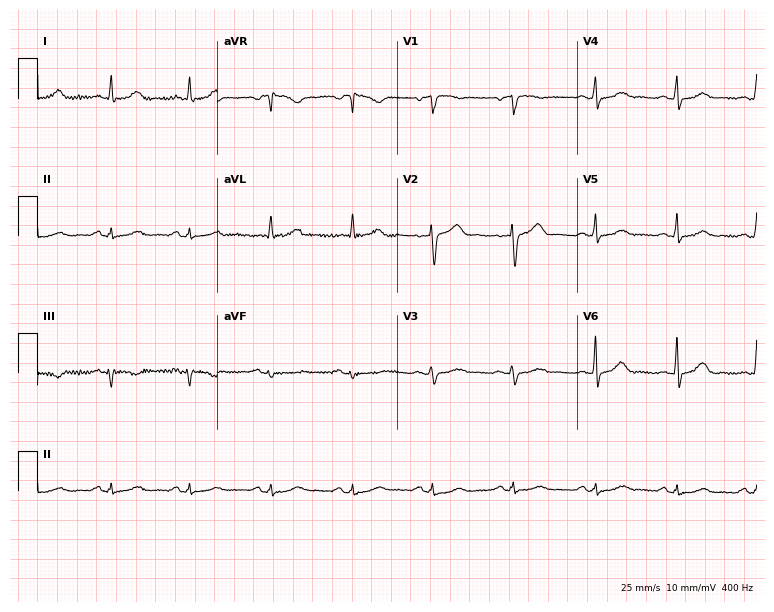
12-lead ECG from a woman, 61 years old (7.3-second recording at 400 Hz). Recorded interpretation: within normal limits.